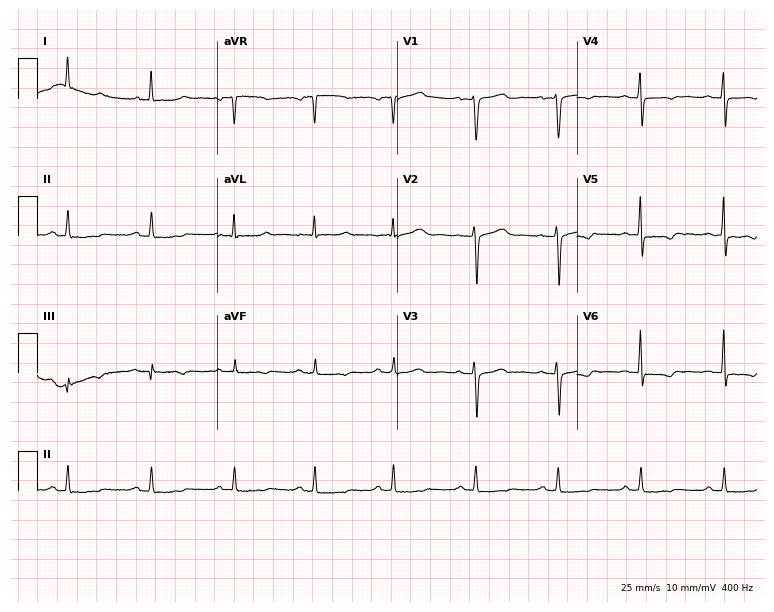
12-lead ECG from a female, 52 years old (7.3-second recording at 400 Hz). Recorded interpretation: within normal limits.